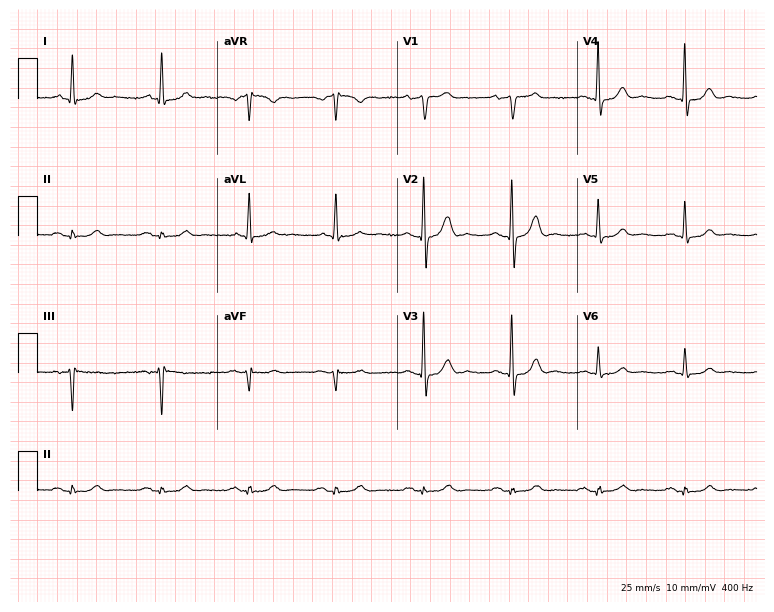
12-lead ECG (7.3-second recording at 400 Hz) from a 59-year-old male. Labelled as a normal ECG.